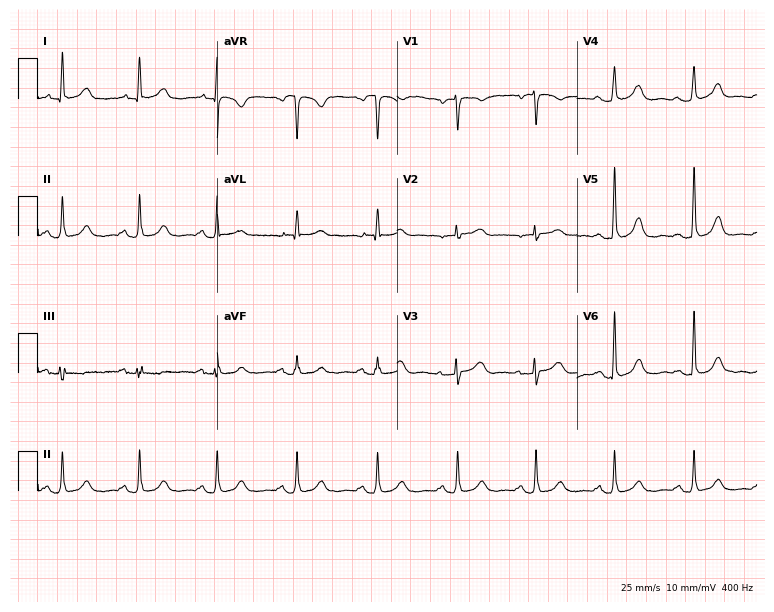
12-lead ECG from a female, 73 years old (7.3-second recording at 400 Hz). Recorded interpretation: within normal limits.